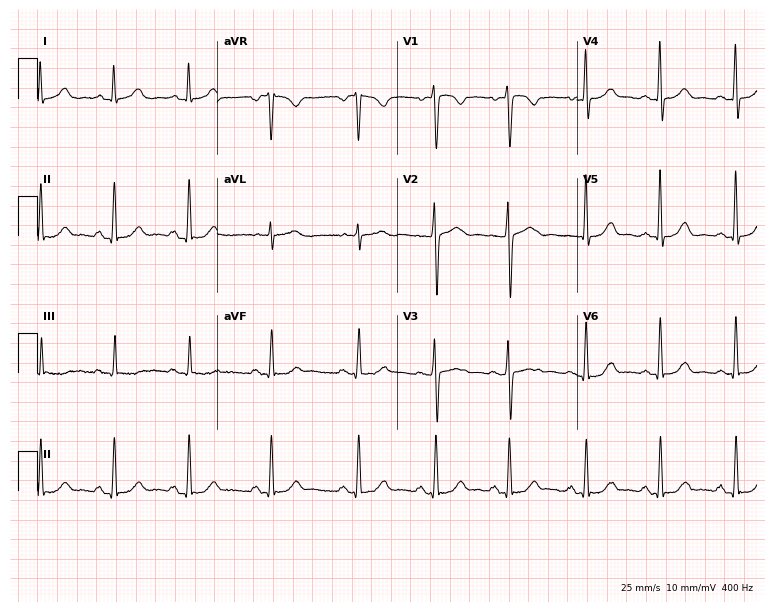
12-lead ECG (7.3-second recording at 400 Hz) from a female, 26 years old. Labelled as a normal ECG.